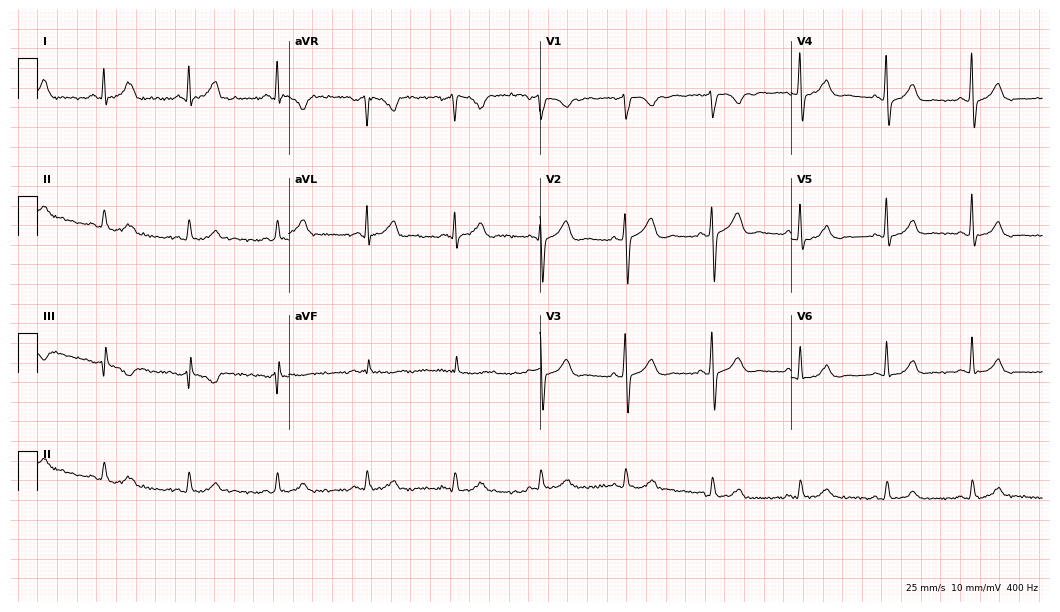
Resting 12-lead electrocardiogram (10.2-second recording at 400 Hz). Patient: a man, 42 years old. Read as a normal ECG.